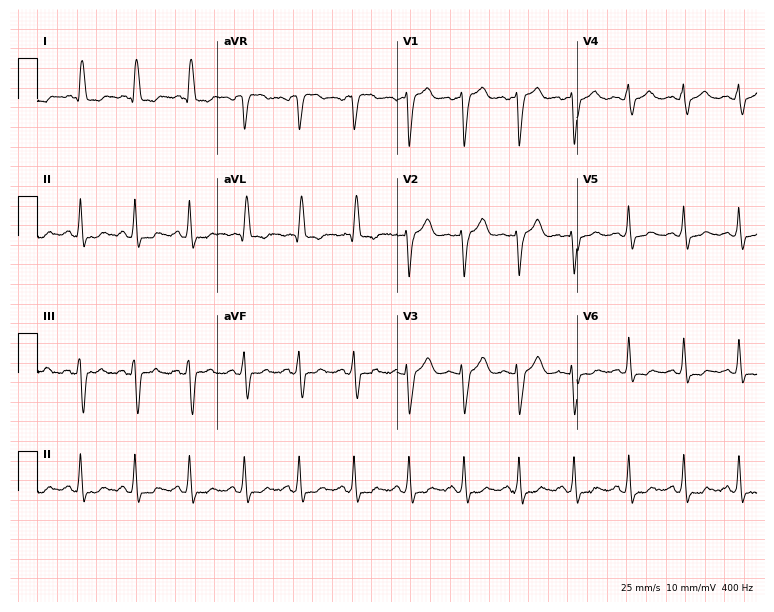
Standard 12-lead ECG recorded from an 84-year-old female patient (7.3-second recording at 400 Hz). The tracing shows sinus tachycardia (a sinus rate of 100 beats per minute or more).